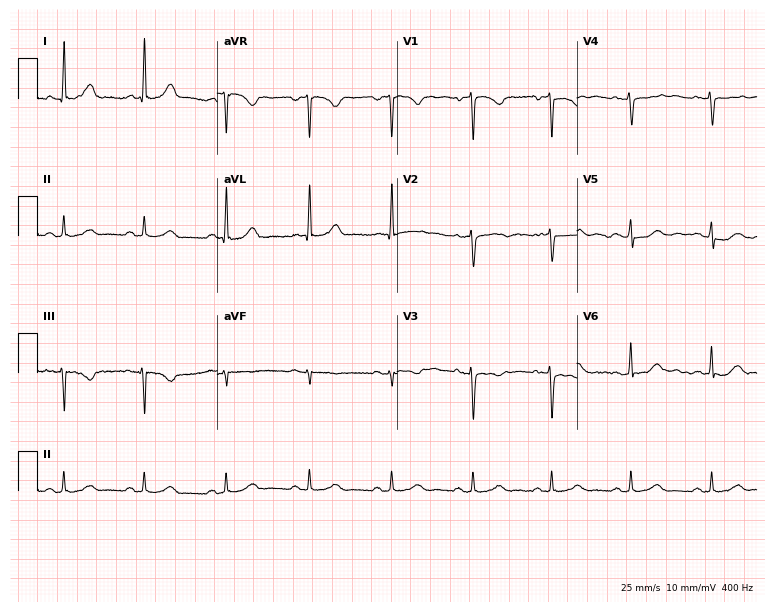
ECG (7.3-second recording at 400 Hz) — a 45-year-old female. Screened for six findings — first-degree AV block, right bundle branch block, left bundle branch block, sinus bradycardia, atrial fibrillation, sinus tachycardia — none is recorded. Only these six findings were labelled.